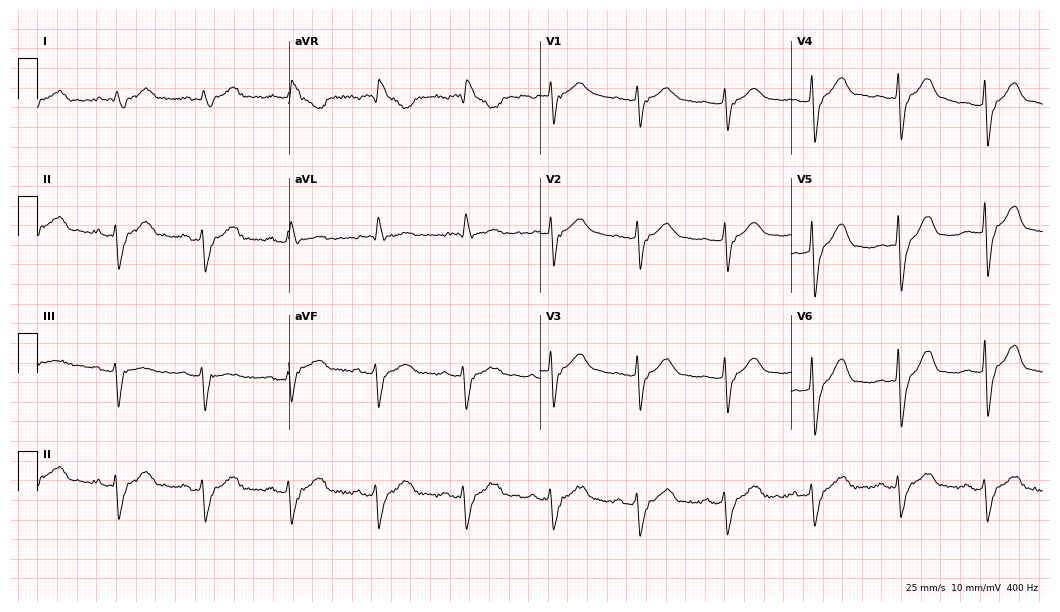
12-lead ECG from an 84-year-old man (10.2-second recording at 400 Hz). No first-degree AV block, right bundle branch block (RBBB), left bundle branch block (LBBB), sinus bradycardia, atrial fibrillation (AF) or sinus tachycardia recorded for this tracing.